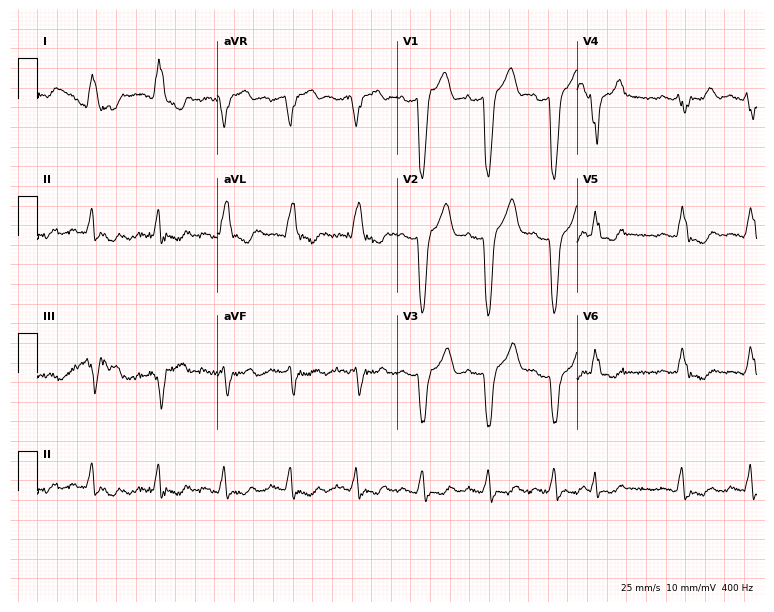
Resting 12-lead electrocardiogram (7.3-second recording at 400 Hz). Patient: an 83-year-old woman. The tracing shows left bundle branch block.